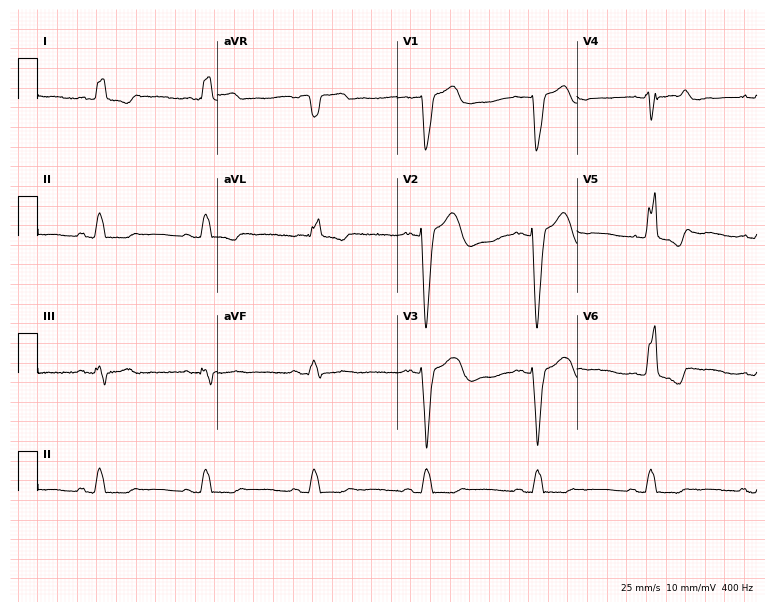
Electrocardiogram (7.3-second recording at 400 Hz), an 81-year-old male. Of the six screened findings (first-degree AV block, right bundle branch block, left bundle branch block, sinus bradycardia, atrial fibrillation, sinus tachycardia), none is recorded.